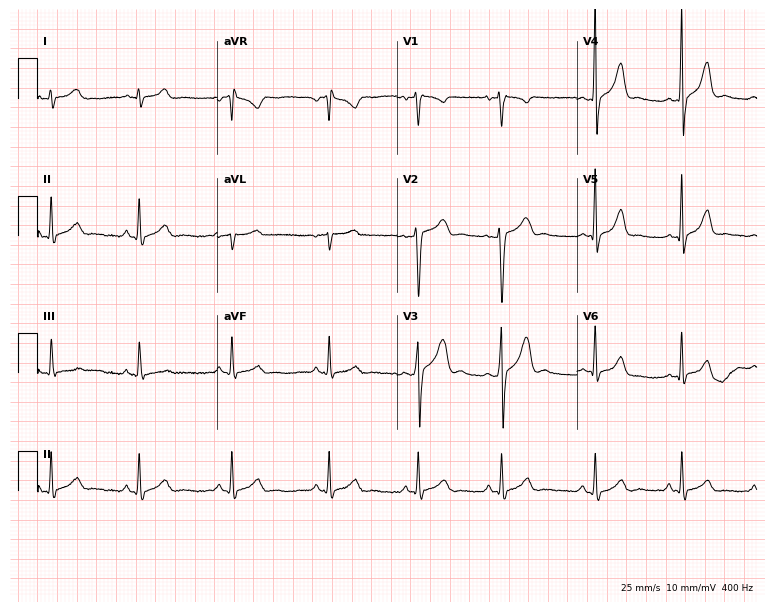
12-lead ECG (7.3-second recording at 400 Hz) from a 21-year-old male. Screened for six findings — first-degree AV block, right bundle branch block, left bundle branch block, sinus bradycardia, atrial fibrillation, sinus tachycardia — none is recorded. Findings outside these six are not listed.